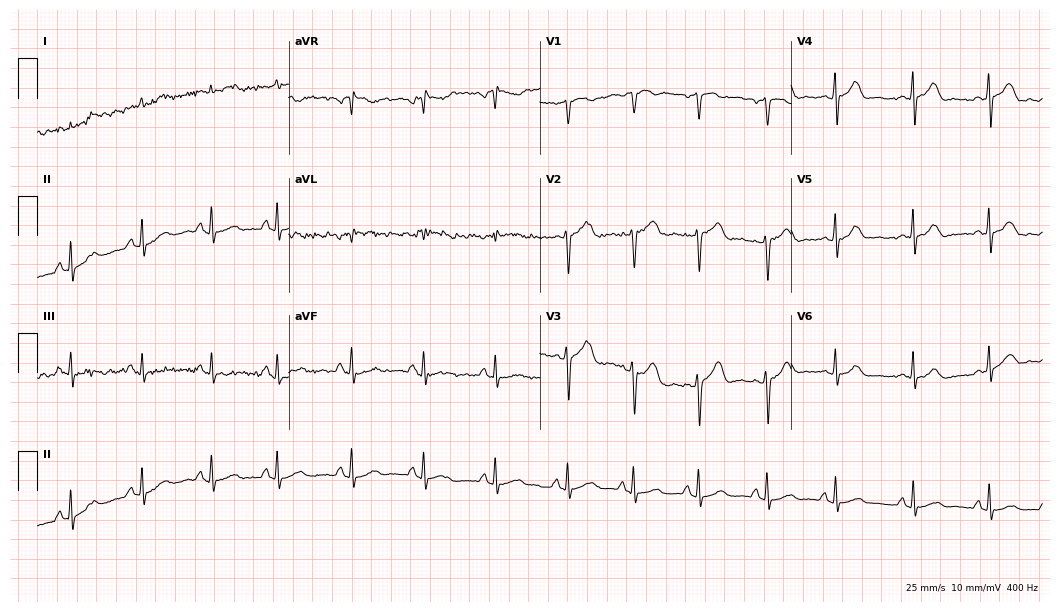
12-lead ECG from a female patient, 46 years old. No first-degree AV block, right bundle branch block, left bundle branch block, sinus bradycardia, atrial fibrillation or sinus tachycardia recorded for this tracing. Only these six findings were labelled.